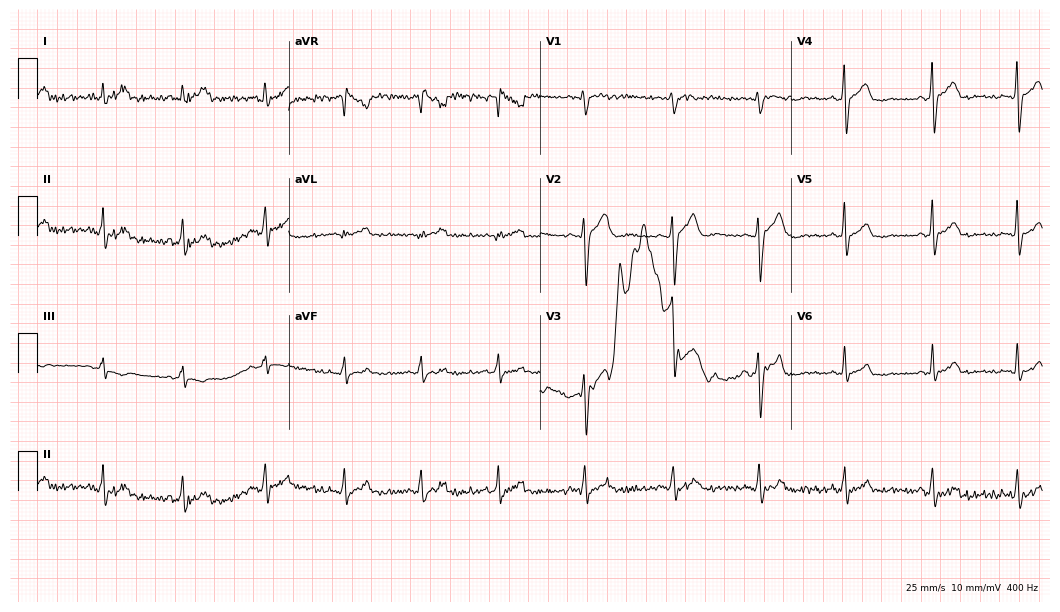
12-lead ECG (10.2-second recording at 400 Hz) from a 42-year-old male. Screened for six findings — first-degree AV block, right bundle branch block, left bundle branch block, sinus bradycardia, atrial fibrillation, sinus tachycardia — none is recorded. Other findings, if any, are not listed.